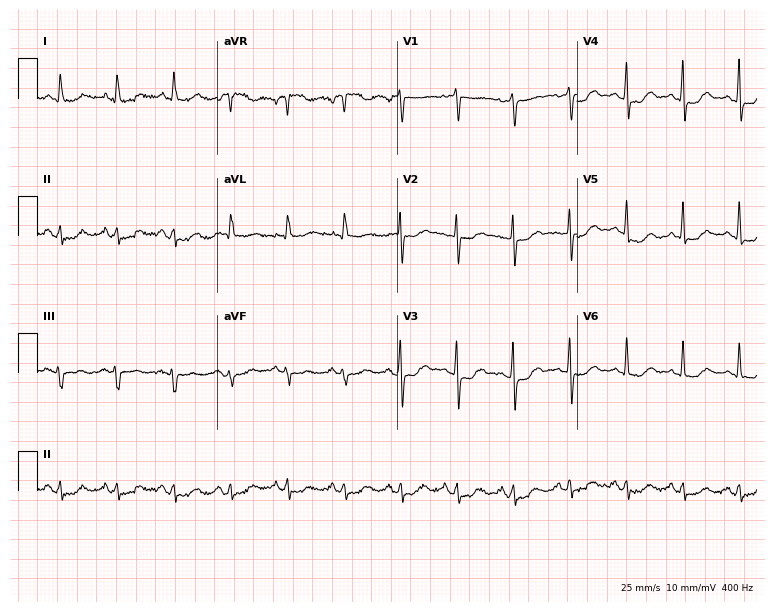
Standard 12-lead ECG recorded from a 76-year-old female patient. None of these six findings is recorded: first-degree AV block, right bundle branch block, left bundle branch block, sinus bradycardia, atrial fibrillation, sinus tachycardia.